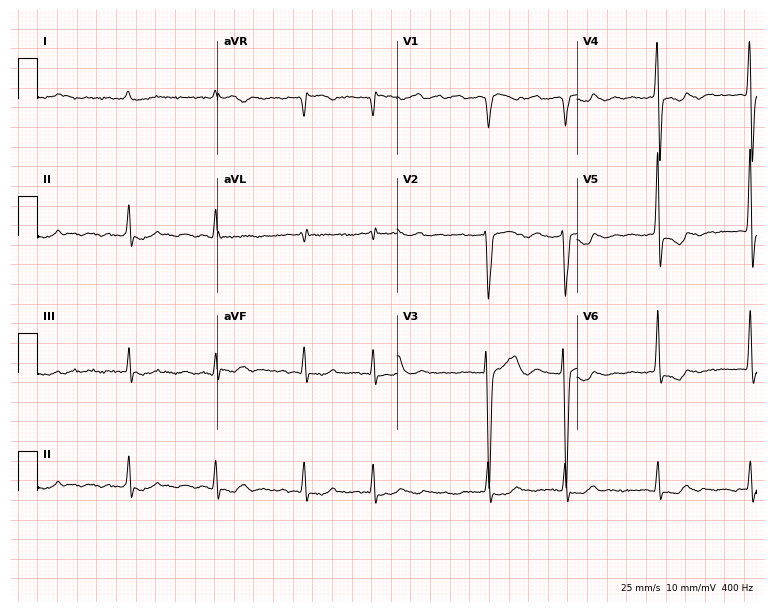
12-lead ECG from a 41-year-old man. Shows atrial fibrillation.